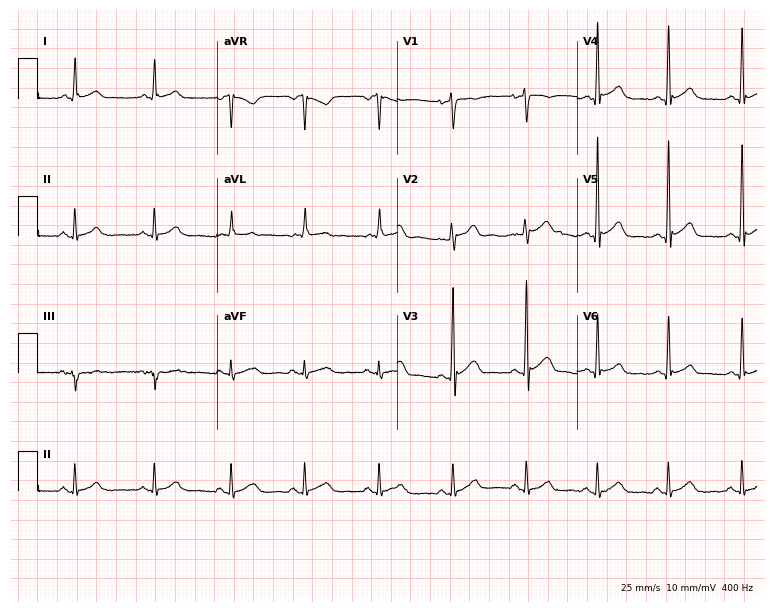
Electrocardiogram (7.3-second recording at 400 Hz), a 27-year-old male patient. Overall reading on record: normal ECG.